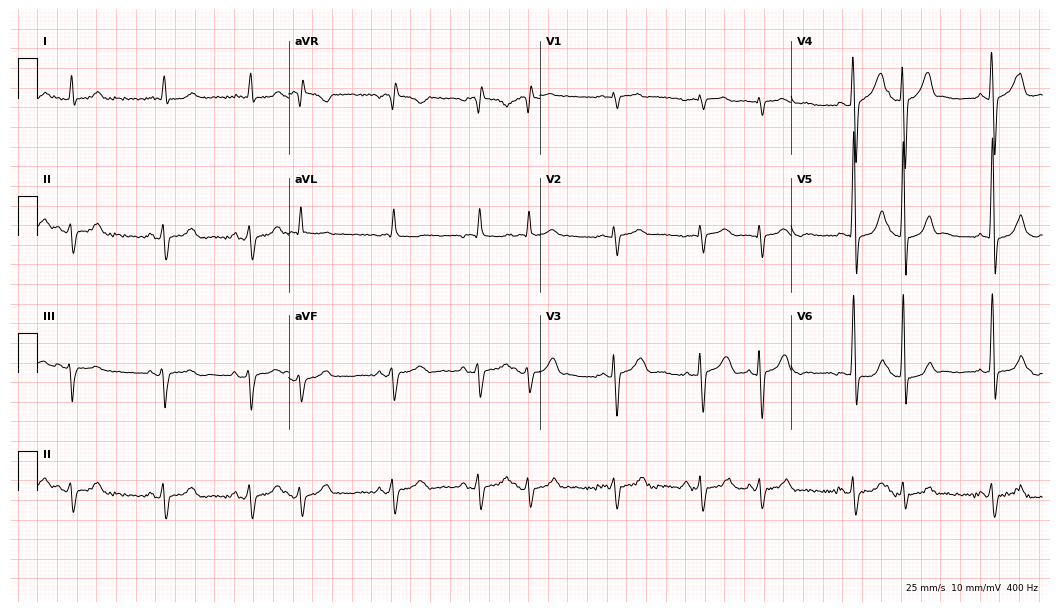
Resting 12-lead electrocardiogram. Patient: a male, 77 years old. None of these six findings is recorded: first-degree AV block, right bundle branch block, left bundle branch block, sinus bradycardia, atrial fibrillation, sinus tachycardia. Other findings, if any, are not listed.